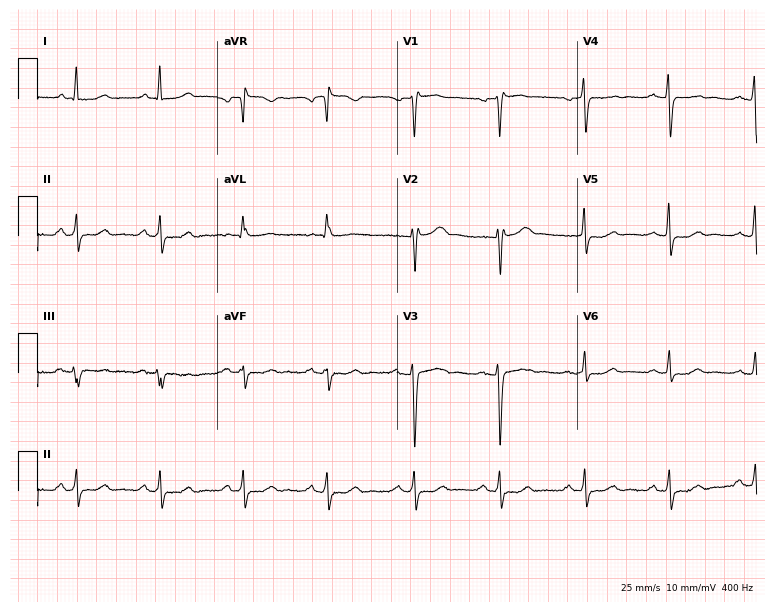
Standard 12-lead ECG recorded from a 49-year-old woman. None of these six findings is recorded: first-degree AV block, right bundle branch block (RBBB), left bundle branch block (LBBB), sinus bradycardia, atrial fibrillation (AF), sinus tachycardia. Other findings, if any, are not listed.